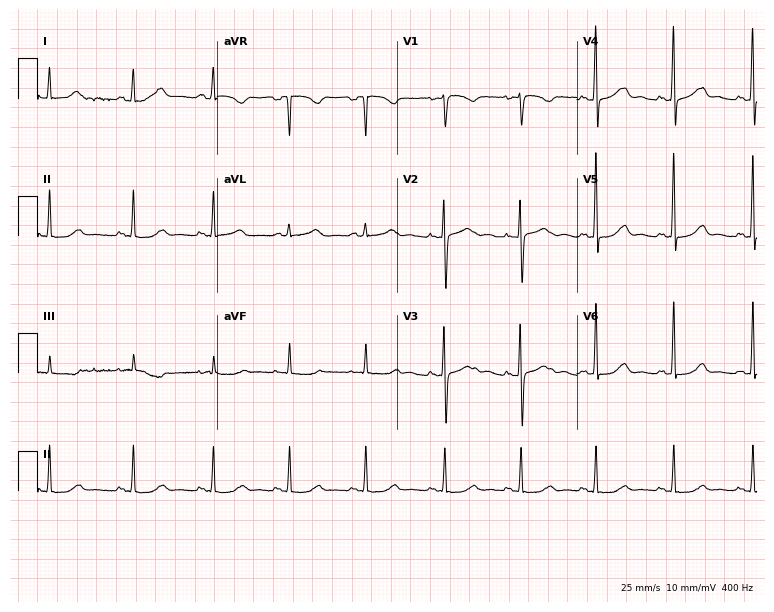
Electrocardiogram (7.3-second recording at 400 Hz), a woman, 39 years old. Overall reading on record: normal ECG.